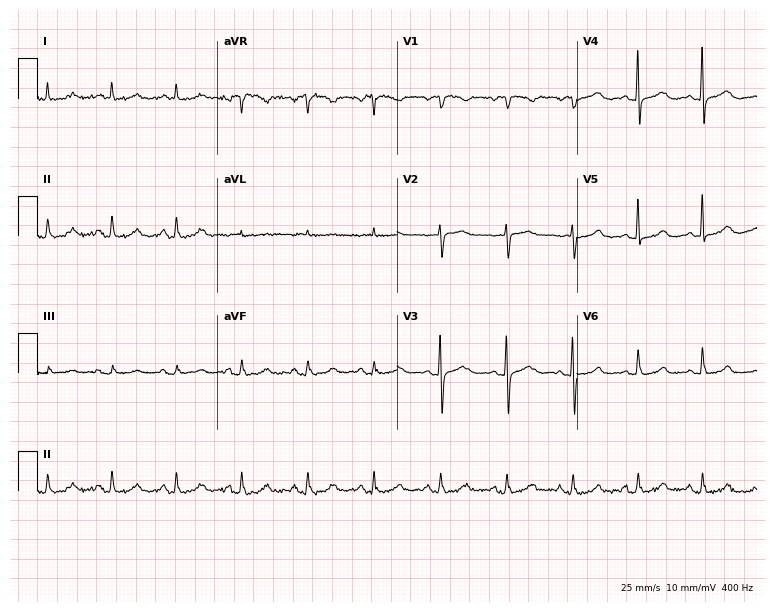
12-lead ECG (7.3-second recording at 400 Hz) from a female, 77 years old. Labelled as a normal ECG.